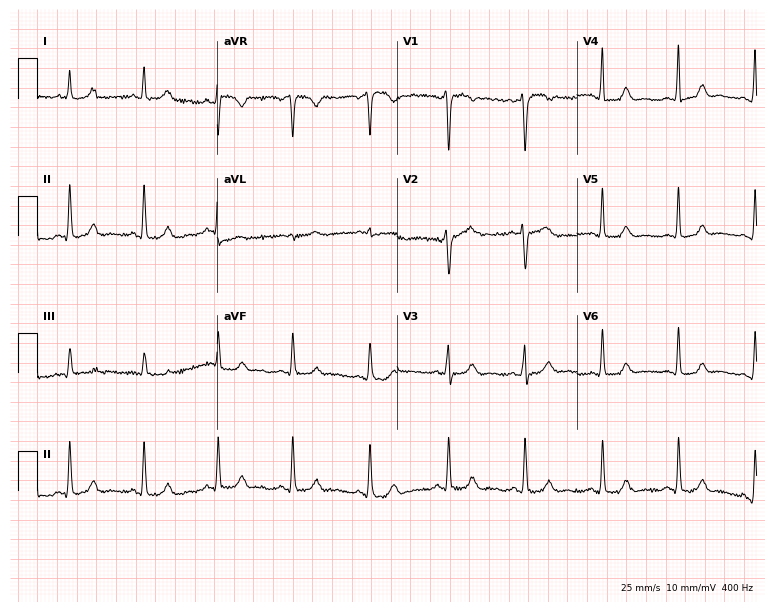
ECG — a 33-year-old female. Labelled as a normal ECG.